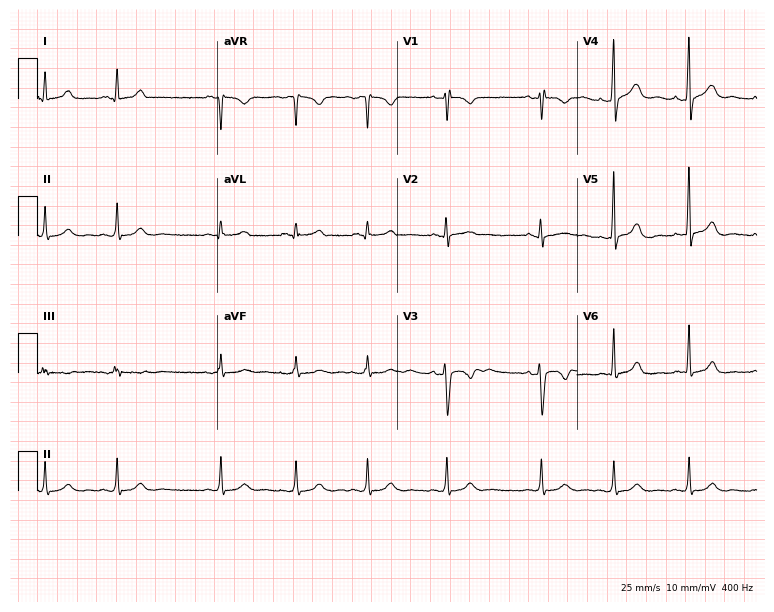
ECG (7.3-second recording at 400 Hz) — a female patient, 23 years old. Labelled as a normal ECG.